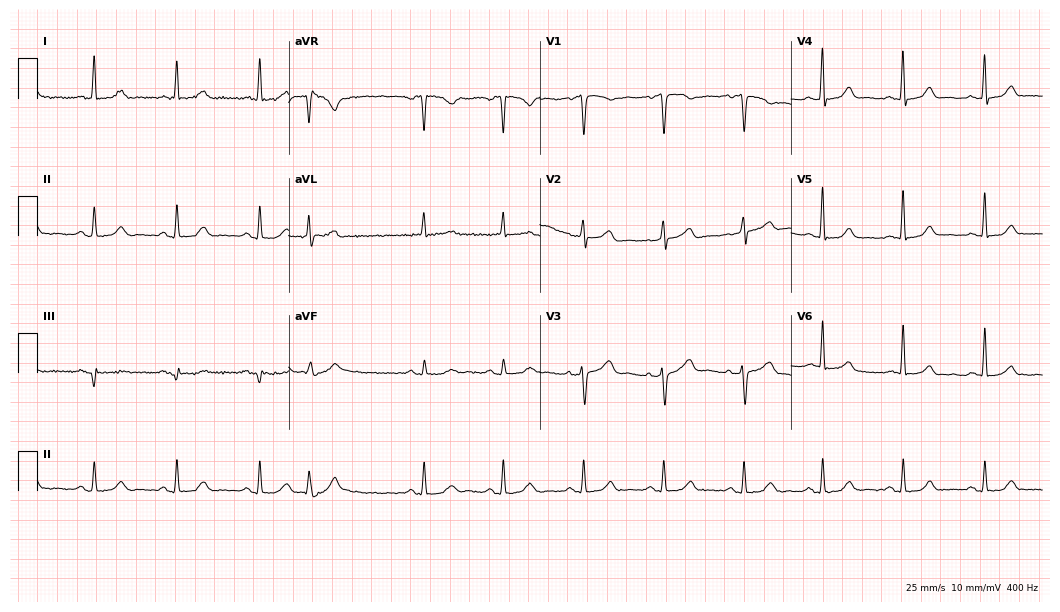
Resting 12-lead electrocardiogram (10.2-second recording at 400 Hz). Patient: a female, 61 years old. None of these six findings is recorded: first-degree AV block, right bundle branch block, left bundle branch block, sinus bradycardia, atrial fibrillation, sinus tachycardia.